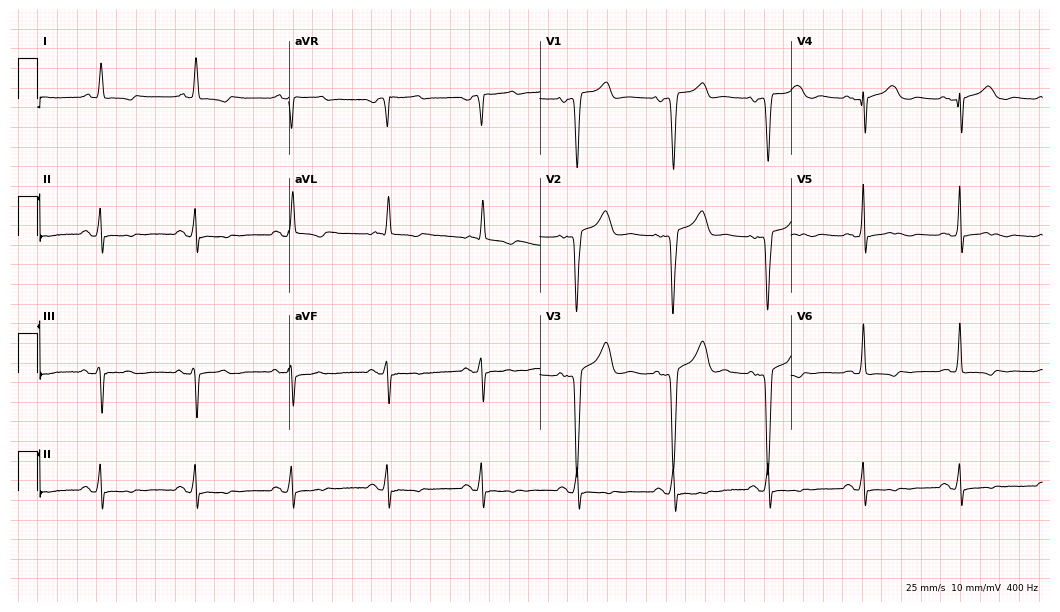
12-lead ECG from a female, 74 years old. Screened for six findings — first-degree AV block, right bundle branch block (RBBB), left bundle branch block (LBBB), sinus bradycardia, atrial fibrillation (AF), sinus tachycardia — none is recorded. Only these six findings were labelled.